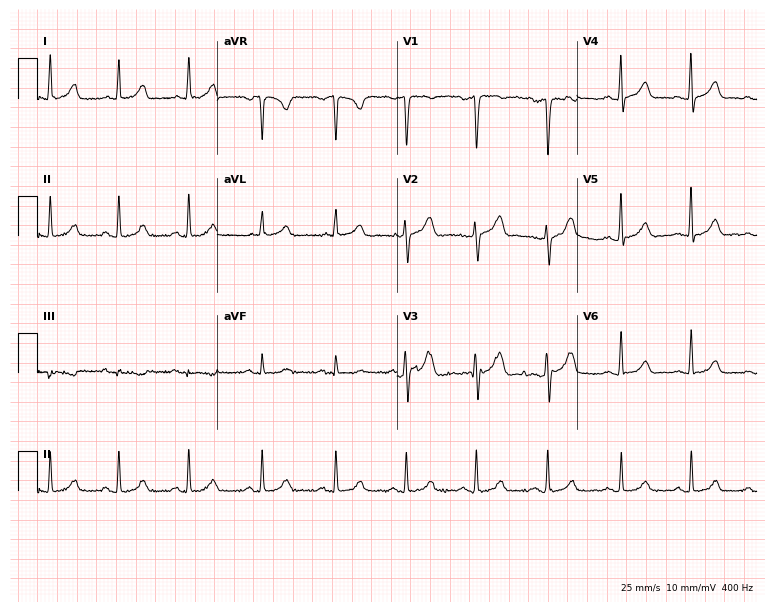
12-lead ECG from a female, 33 years old. Recorded interpretation: within normal limits.